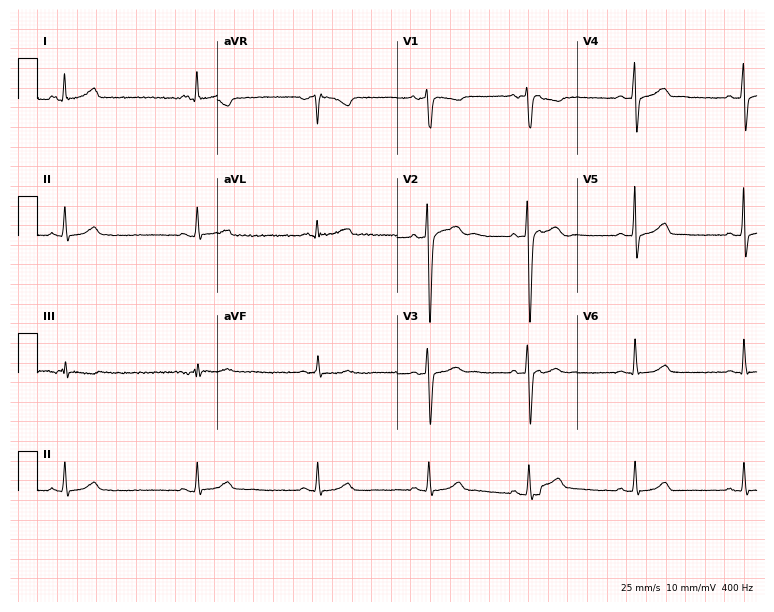
12-lead ECG from a 33-year-old male. Screened for six findings — first-degree AV block, right bundle branch block, left bundle branch block, sinus bradycardia, atrial fibrillation, sinus tachycardia — none is recorded.